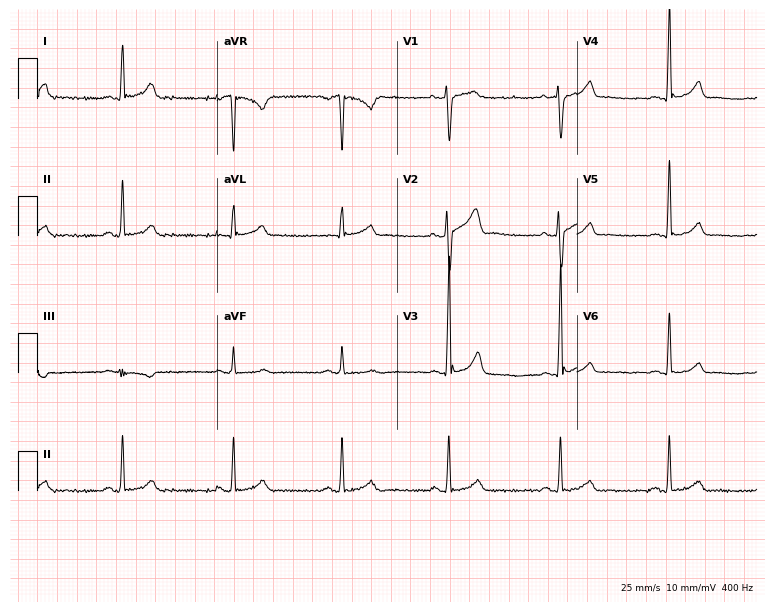
Standard 12-lead ECG recorded from a 35-year-old male patient. Read as a normal ECG.